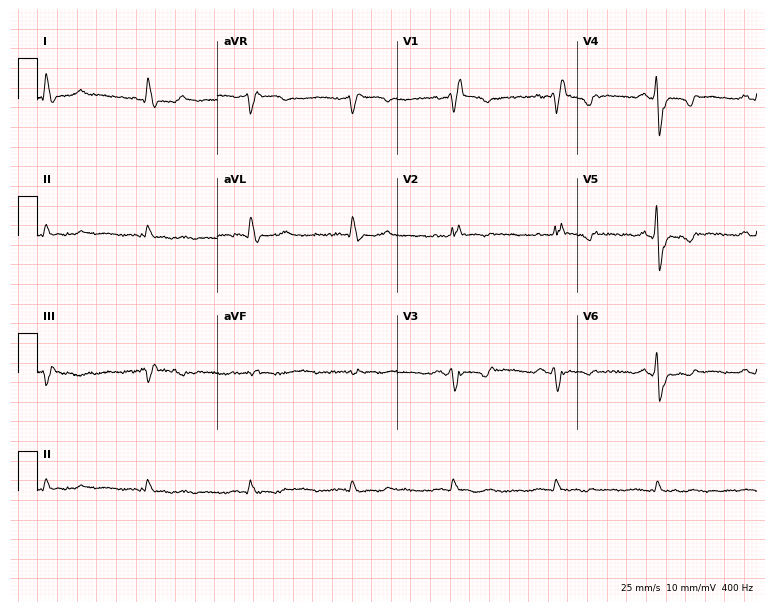
ECG — a female, 83 years old. Findings include right bundle branch block (RBBB).